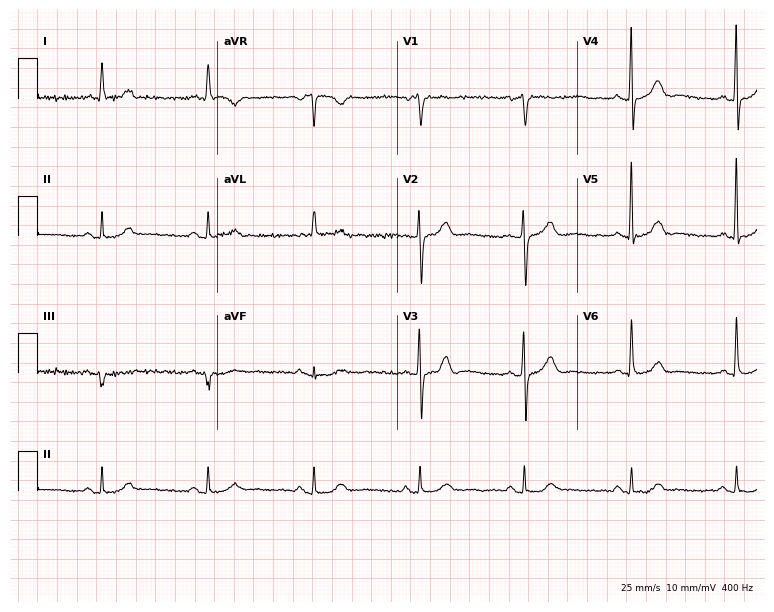
ECG — a 70-year-old female patient. Labelled as a normal ECG.